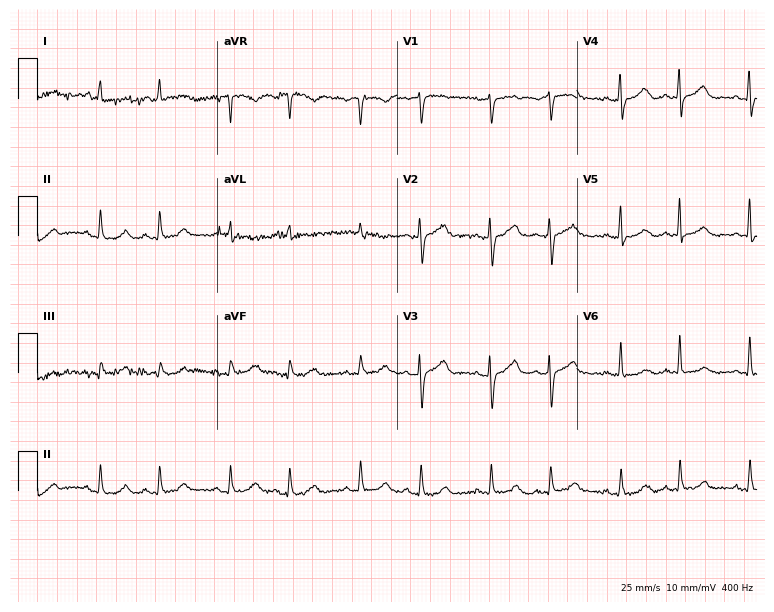
12-lead ECG from a female, 65 years old. Screened for six findings — first-degree AV block, right bundle branch block, left bundle branch block, sinus bradycardia, atrial fibrillation, sinus tachycardia — none is recorded.